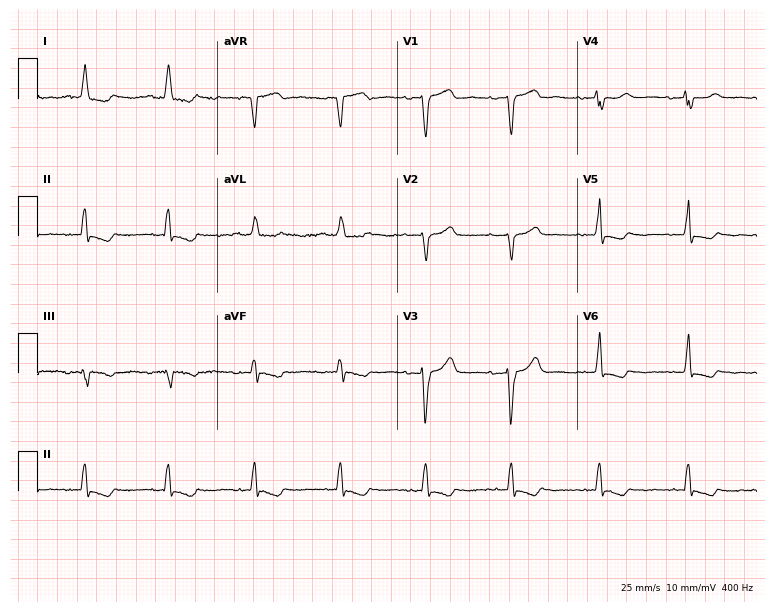
Resting 12-lead electrocardiogram. Patient: a 73-year-old female. None of these six findings is recorded: first-degree AV block, right bundle branch block (RBBB), left bundle branch block (LBBB), sinus bradycardia, atrial fibrillation (AF), sinus tachycardia. Findings outside these six are not listed.